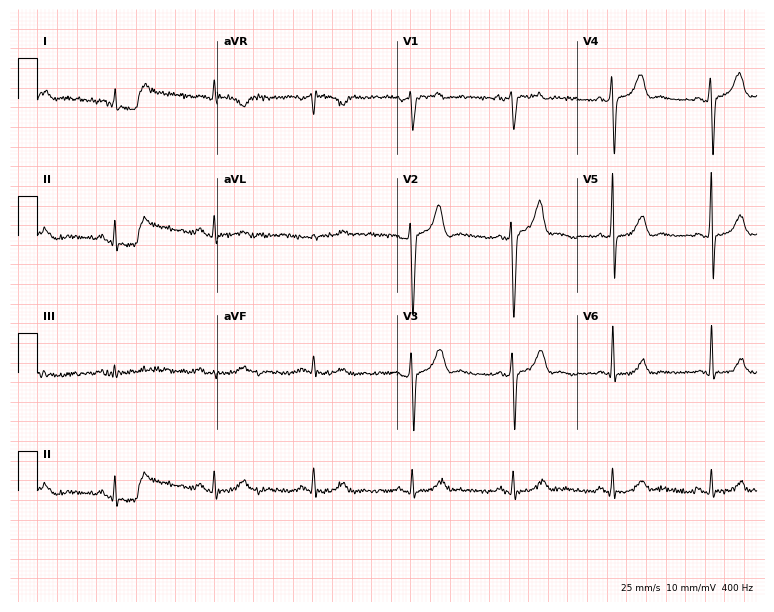
Resting 12-lead electrocardiogram (7.3-second recording at 400 Hz). Patient: a male, 57 years old. None of these six findings is recorded: first-degree AV block, right bundle branch block, left bundle branch block, sinus bradycardia, atrial fibrillation, sinus tachycardia.